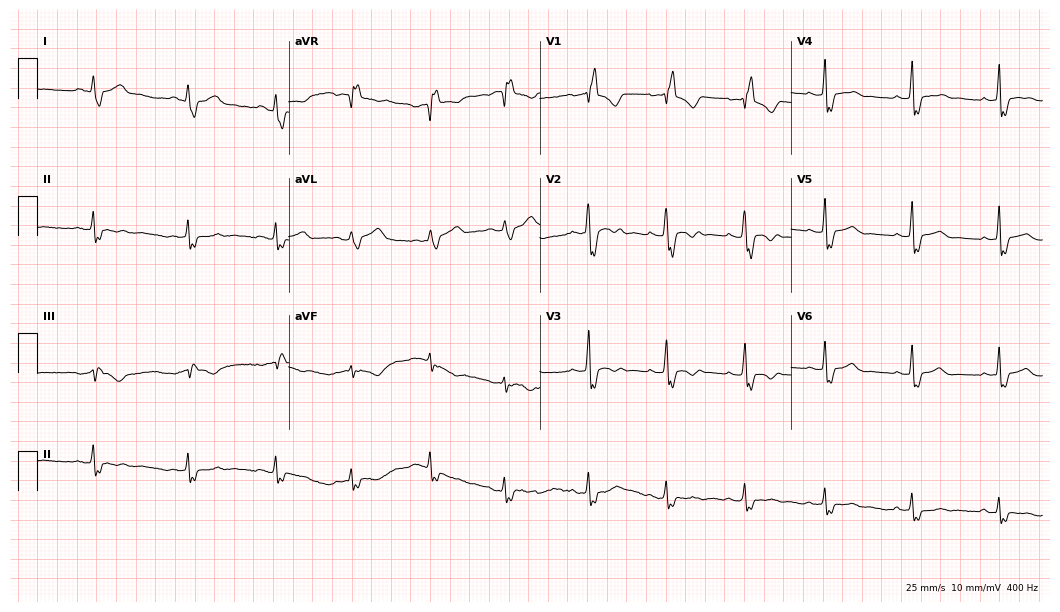
Resting 12-lead electrocardiogram. Patient: a 31-year-old female. None of these six findings is recorded: first-degree AV block, right bundle branch block, left bundle branch block, sinus bradycardia, atrial fibrillation, sinus tachycardia. Only these six findings were labelled.